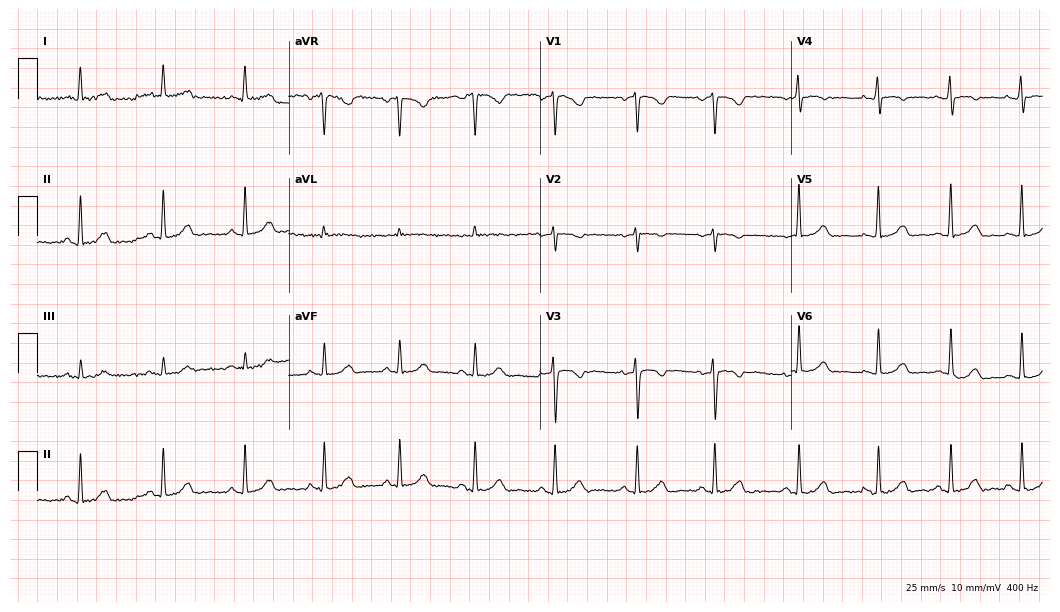
12-lead ECG (10.2-second recording at 400 Hz) from a female, 30 years old. Labelled as a normal ECG.